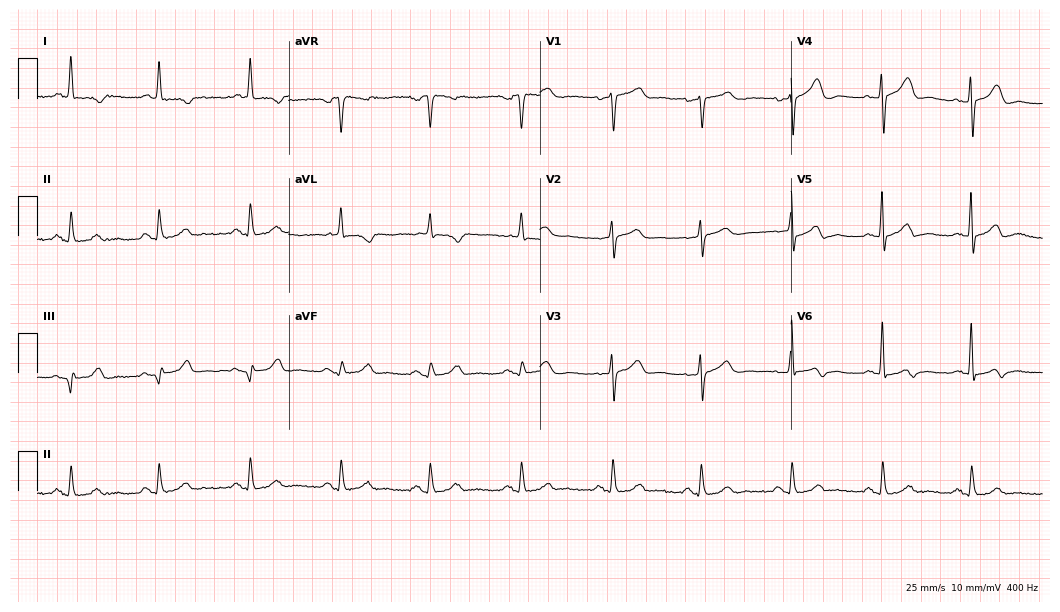
Resting 12-lead electrocardiogram (10.2-second recording at 400 Hz). Patient: a 65-year-old female. None of these six findings is recorded: first-degree AV block, right bundle branch block, left bundle branch block, sinus bradycardia, atrial fibrillation, sinus tachycardia. Findings outside these six are not listed.